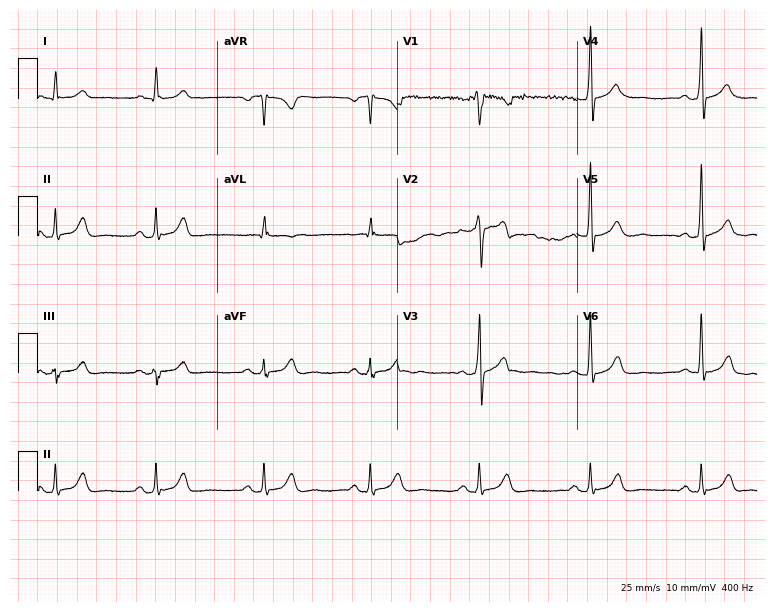
12-lead ECG from a 40-year-old male. Labelled as a normal ECG.